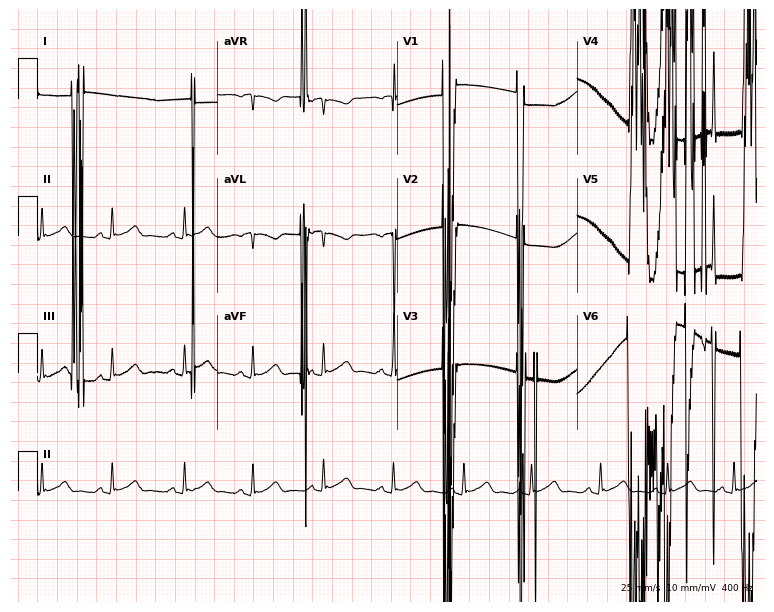
Standard 12-lead ECG recorded from a male, 27 years old. None of these six findings is recorded: first-degree AV block, right bundle branch block, left bundle branch block, sinus bradycardia, atrial fibrillation, sinus tachycardia. Other findings, if any, are not listed.